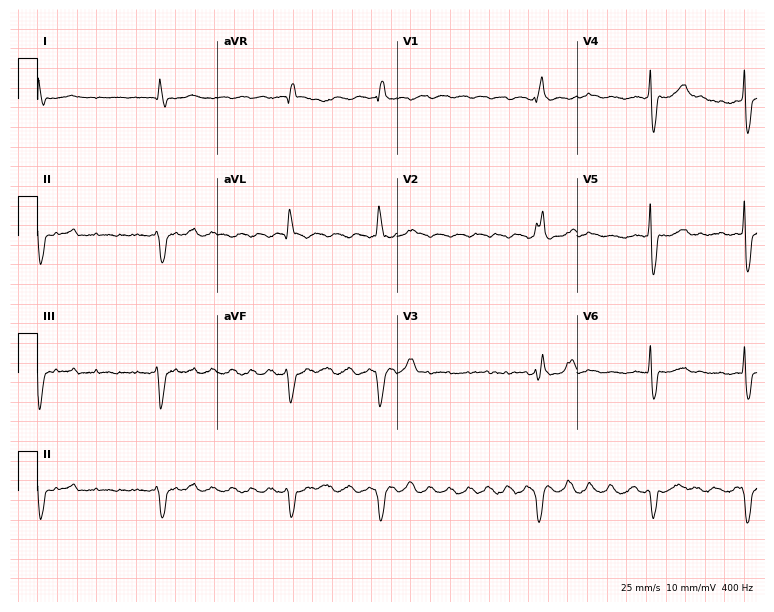
12-lead ECG from a male, 80 years old. Shows right bundle branch block (RBBB), atrial fibrillation (AF).